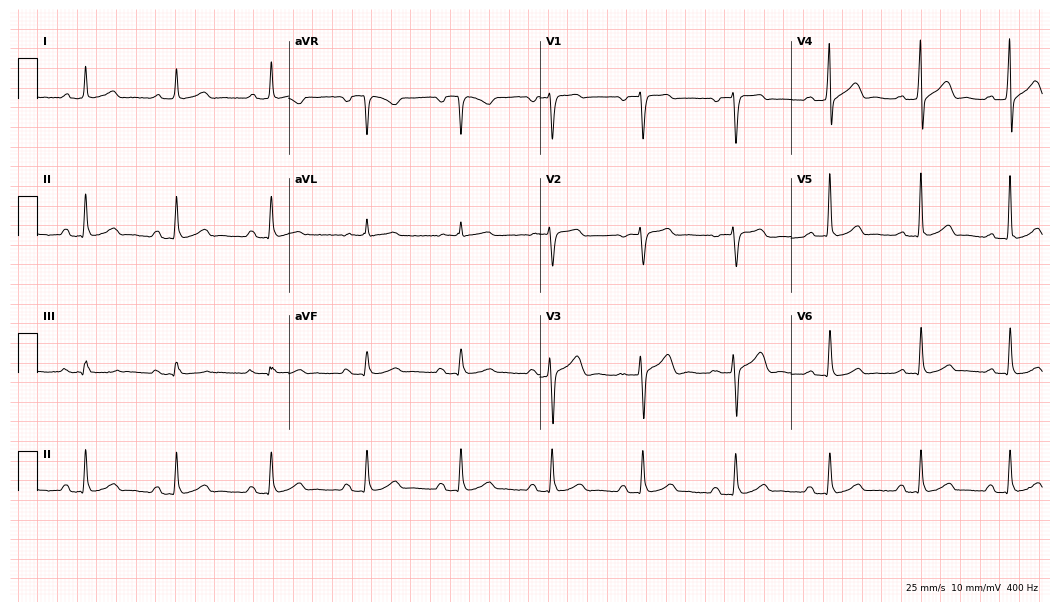
ECG (10.2-second recording at 400 Hz) — a man, 48 years old. Labelled as a normal ECG.